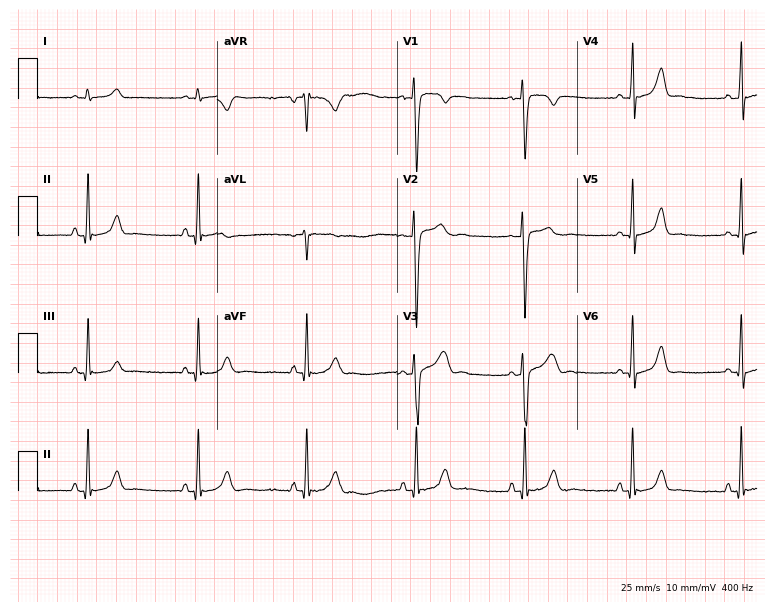
ECG (7.3-second recording at 400 Hz) — a 30-year-old male. Labelled as a normal ECG.